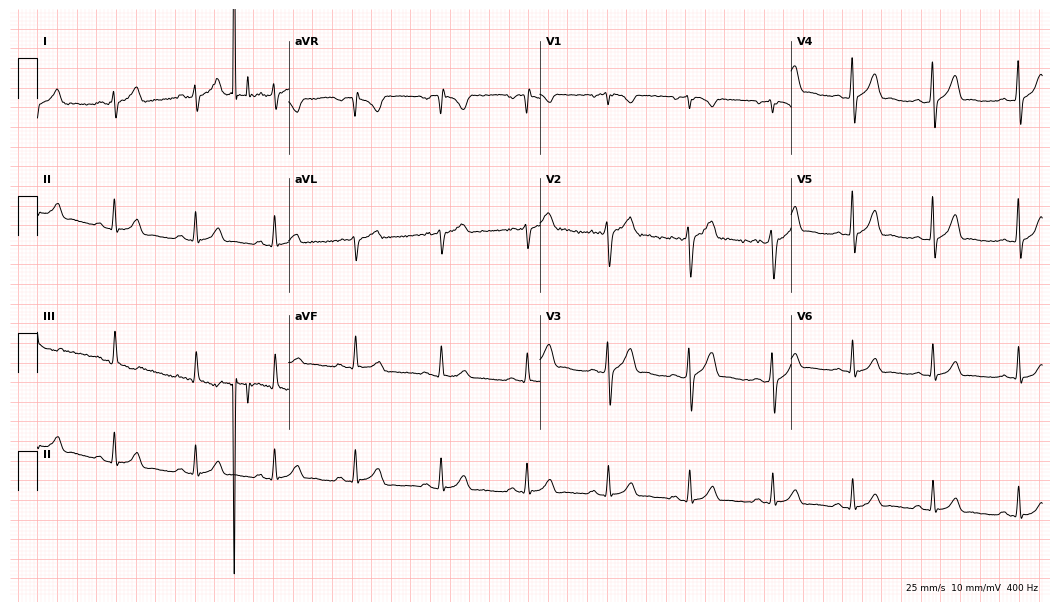
Standard 12-lead ECG recorded from a man, 28 years old (10.2-second recording at 400 Hz). None of these six findings is recorded: first-degree AV block, right bundle branch block, left bundle branch block, sinus bradycardia, atrial fibrillation, sinus tachycardia. Other findings, if any, are not listed.